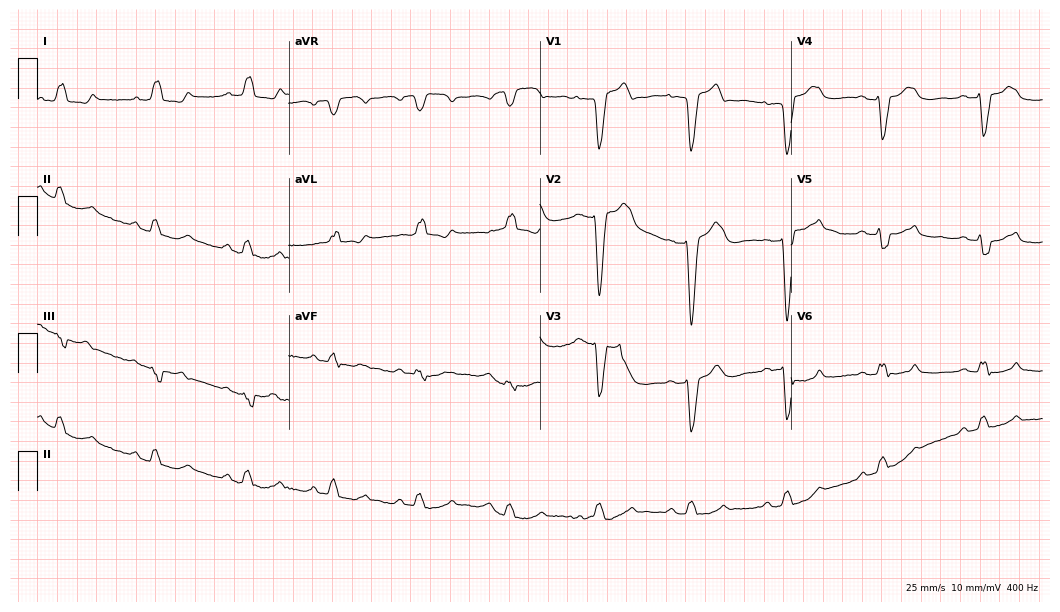
ECG (10.2-second recording at 400 Hz) — a 76-year-old male patient. Findings include left bundle branch block (LBBB).